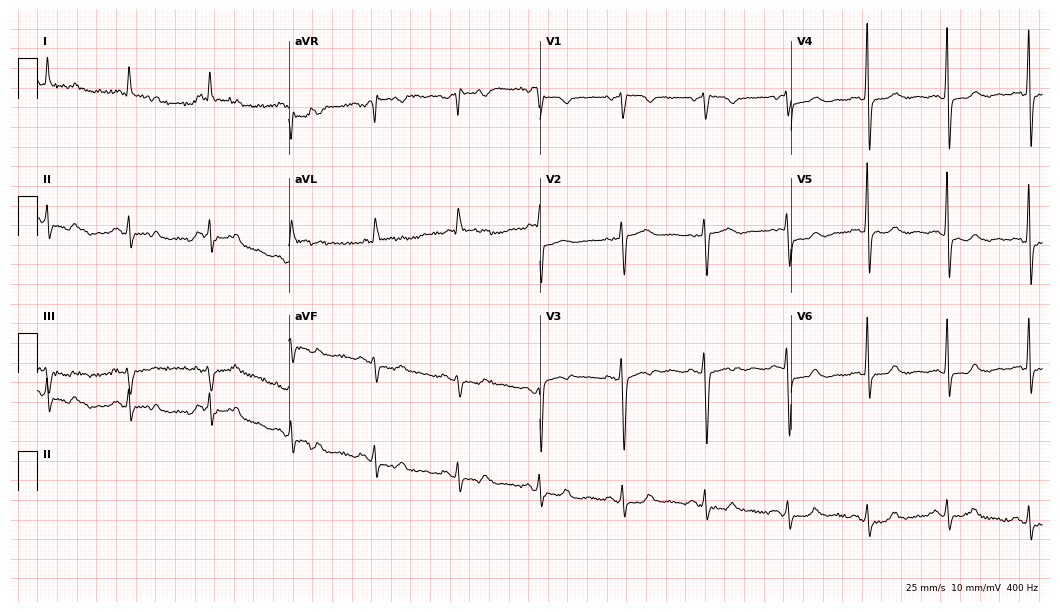
12-lead ECG from a 70-year-old female. Labelled as a normal ECG.